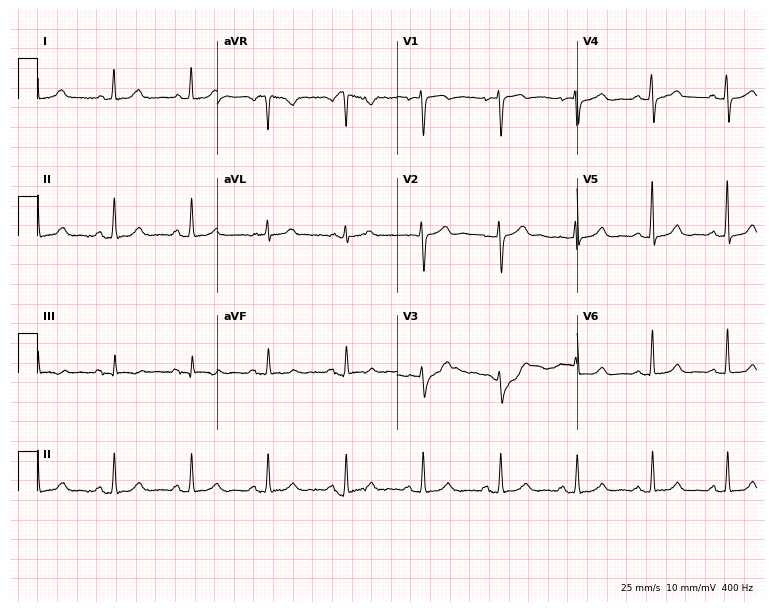
12-lead ECG from a woman, 64 years old. Labelled as a normal ECG.